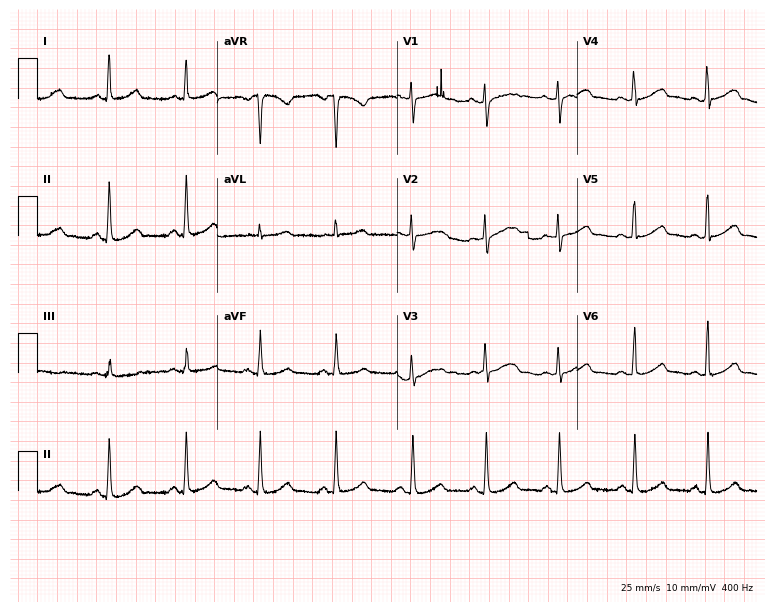
12-lead ECG from a female, 37 years old. Recorded interpretation: within normal limits.